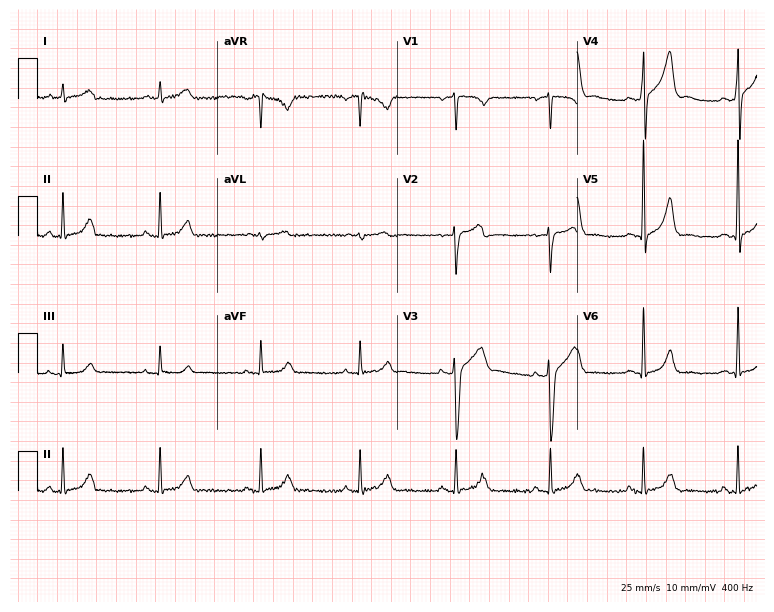
12-lead ECG from a 32-year-old man. Labelled as a normal ECG.